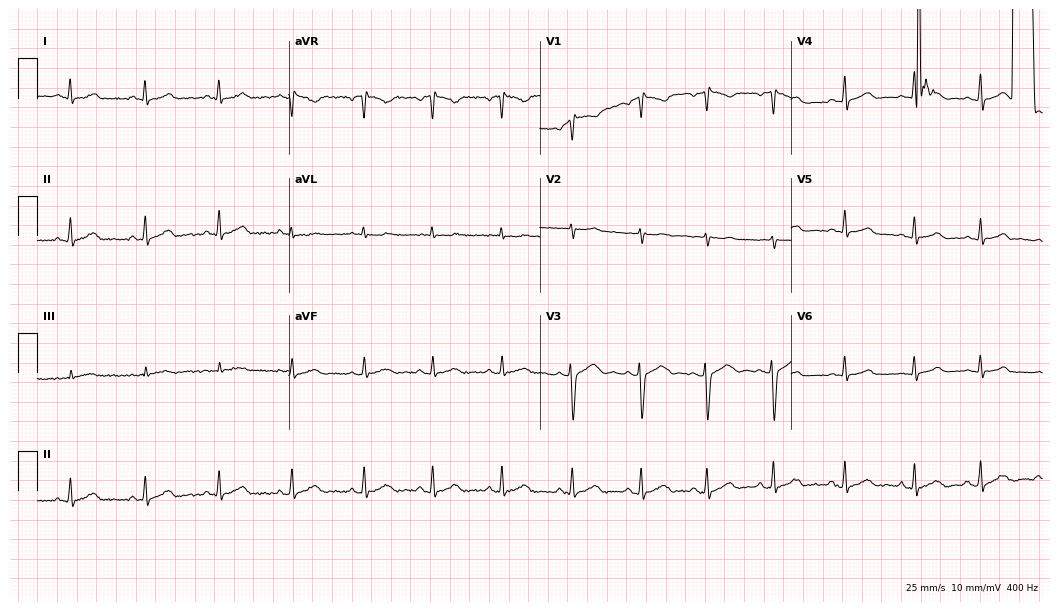
12-lead ECG from a female, 18 years old. Screened for six findings — first-degree AV block, right bundle branch block (RBBB), left bundle branch block (LBBB), sinus bradycardia, atrial fibrillation (AF), sinus tachycardia — none is recorded. Other findings, if any, are not listed.